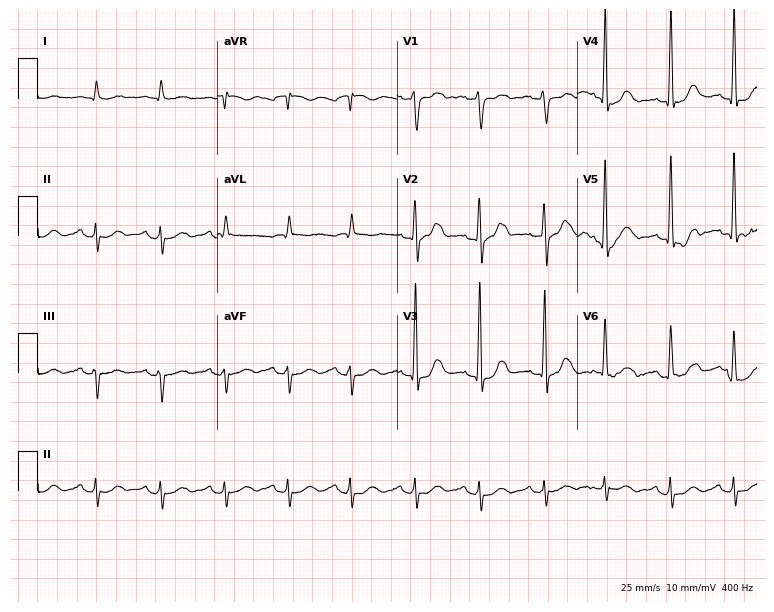
Resting 12-lead electrocardiogram (7.3-second recording at 400 Hz). Patient: a 73-year-old male. None of these six findings is recorded: first-degree AV block, right bundle branch block, left bundle branch block, sinus bradycardia, atrial fibrillation, sinus tachycardia. Other findings, if any, are not listed.